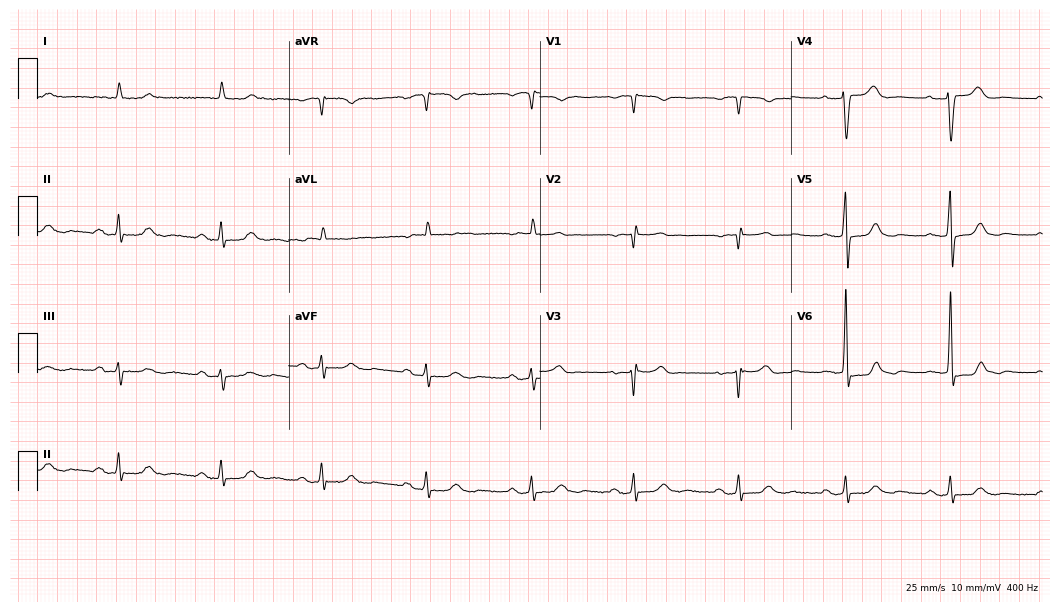
Standard 12-lead ECG recorded from a female, 76 years old. None of these six findings is recorded: first-degree AV block, right bundle branch block, left bundle branch block, sinus bradycardia, atrial fibrillation, sinus tachycardia.